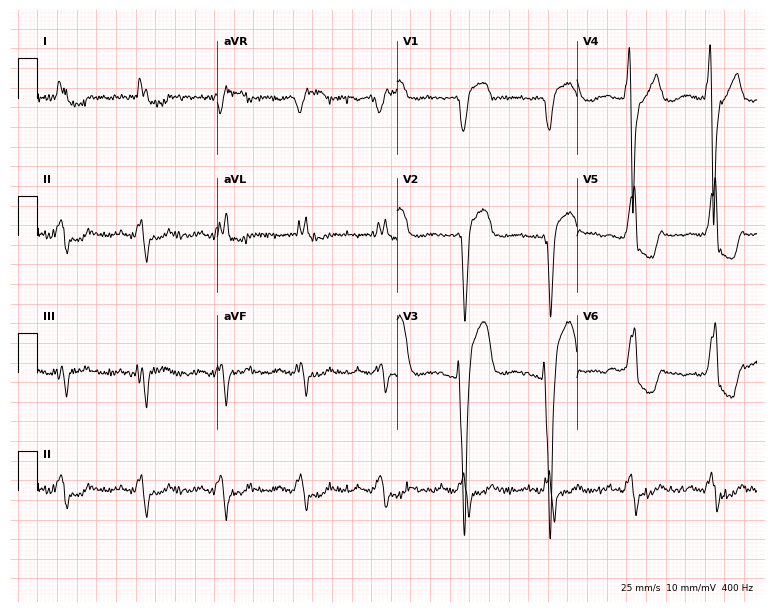
Standard 12-lead ECG recorded from a woman, 82 years old. The tracing shows left bundle branch block.